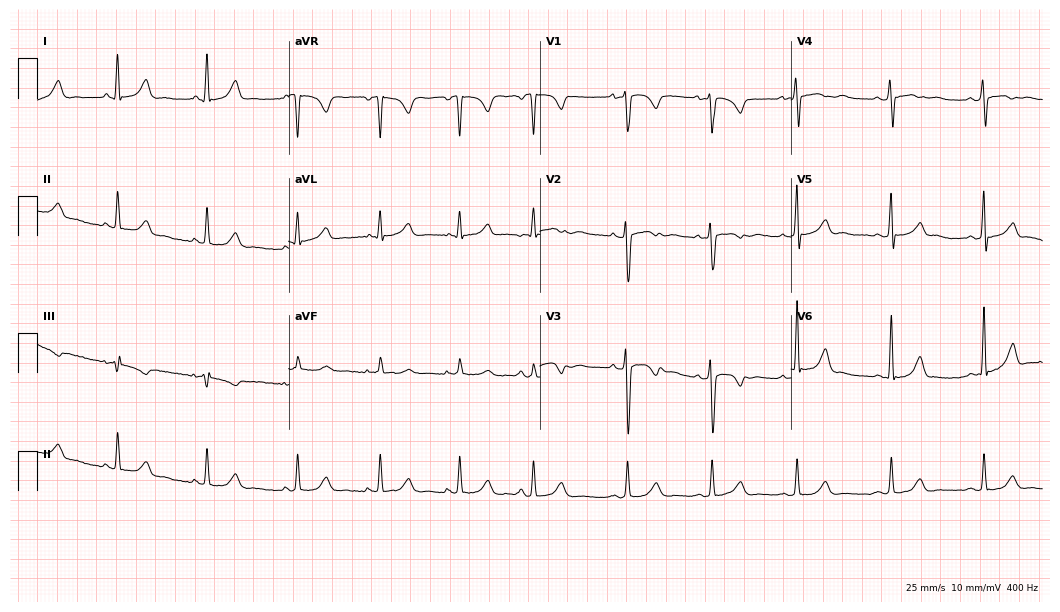
Electrocardiogram (10.2-second recording at 400 Hz), a female, 20 years old. Of the six screened findings (first-degree AV block, right bundle branch block, left bundle branch block, sinus bradycardia, atrial fibrillation, sinus tachycardia), none is recorded. Only these six findings were labelled.